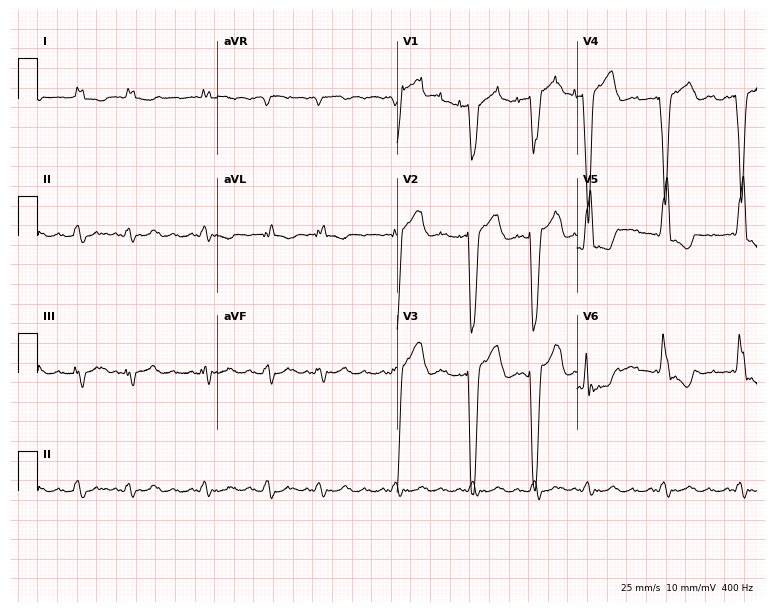
12-lead ECG from a male patient, 80 years old. Shows left bundle branch block (LBBB), atrial fibrillation (AF).